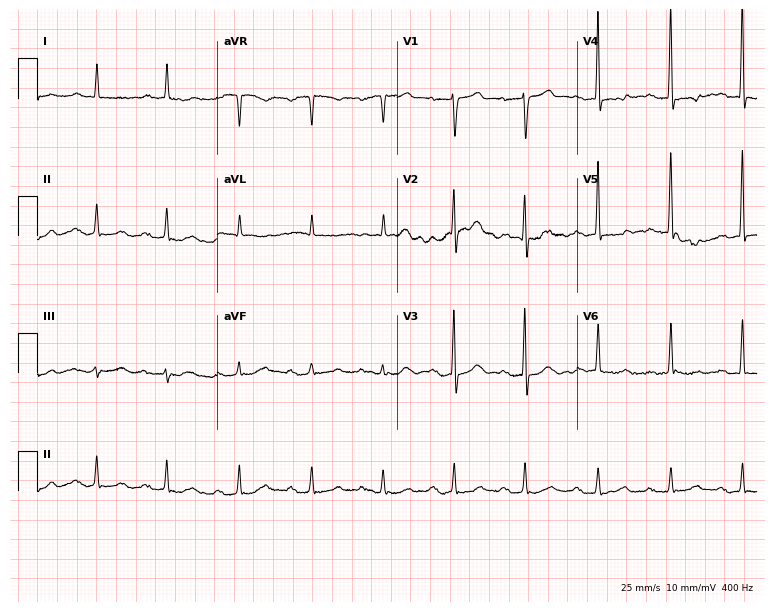
Standard 12-lead ECG recorded from a 79-year-old male patient (7.3-second recording at 400 Hz). None of these six findings is recorded: first-degree AV block, right bundle branch block, left bundle branch block, sinus bradycardia, atrial fibrillation, sinus tachycardia.